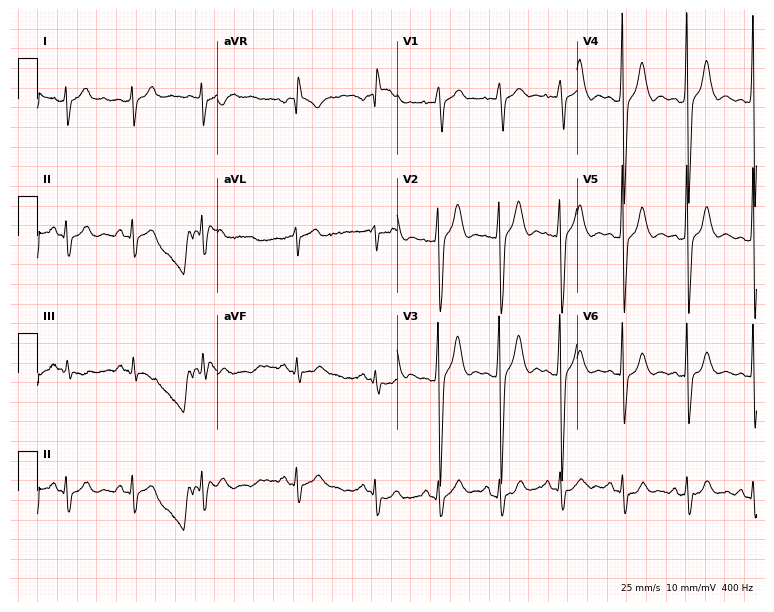
Electrocardiogram (7.3-second recording at 400 Hz), a male, 20 years old. Of the six screened findings (first-degree AV block, right bundle branch block, left bundle branch block, sinus bradycardia, atrial fibrillation, sinus tachycardia), none is recorded. Findings outside these six are not listed.